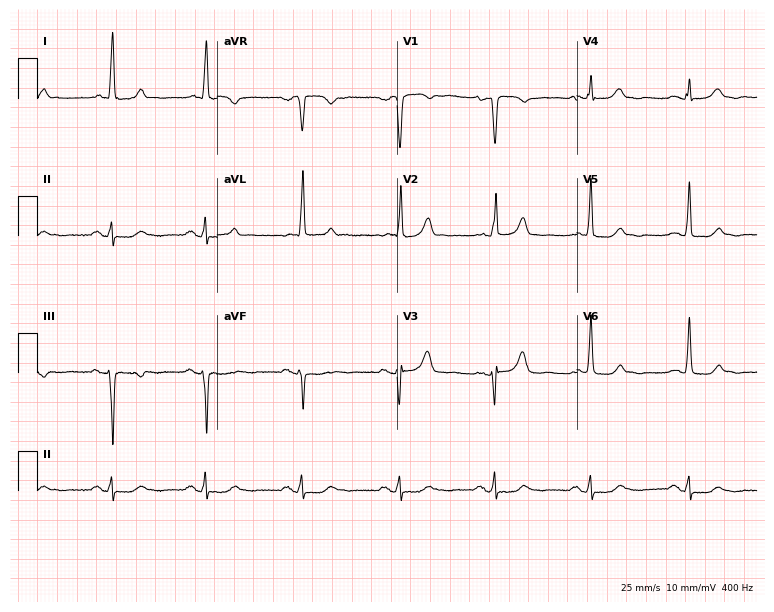
ECG — an 81-year-old female. Labelled as a normal ECG.